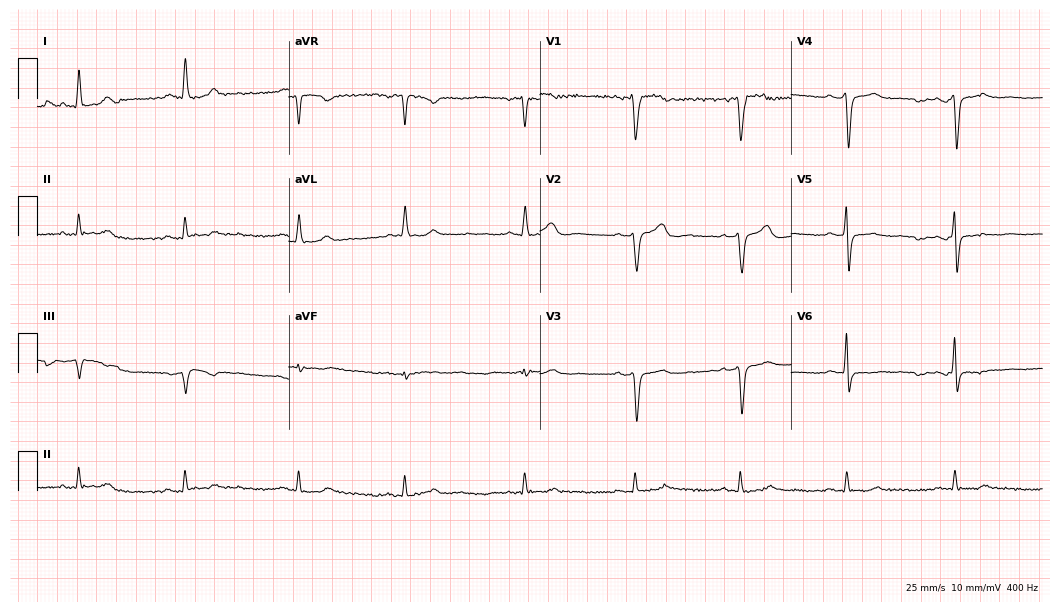
12-lead ECG (10.2-second recording at 400 Hz) from a man, 59 years old. Screened for six findings — first-degree AV block, right bundle branch block, left bundle branch block, sinus bradycardia, atrial fibrillation, sinus tachycardia — none is recorded. Only these six findings were labelled.